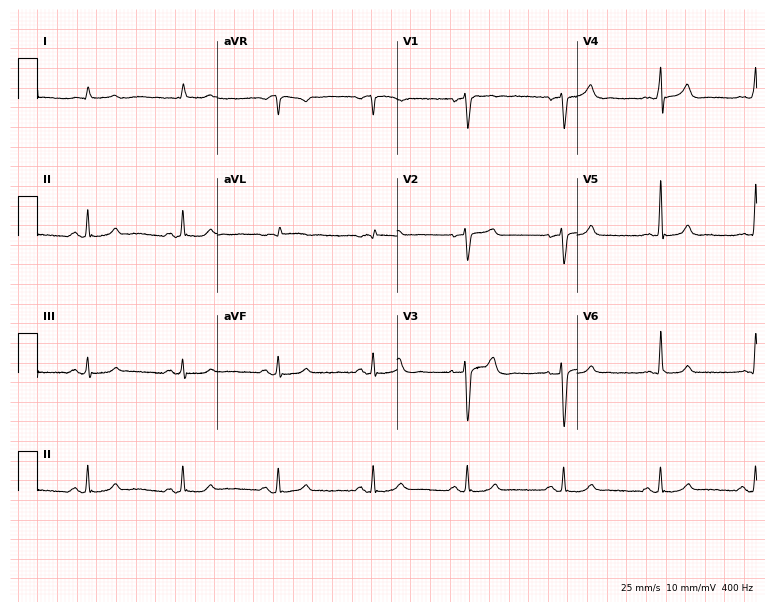
12-lead ECG from a 66-year-old male (7.3-second recording at 400 Hz). No first-degree AV block, right bundle branch block, left bundle branch block, sinus bradycardia, atrial fibrillation or sinus tachycardia recorded for this tracing. Other findings, if any, are not listed.